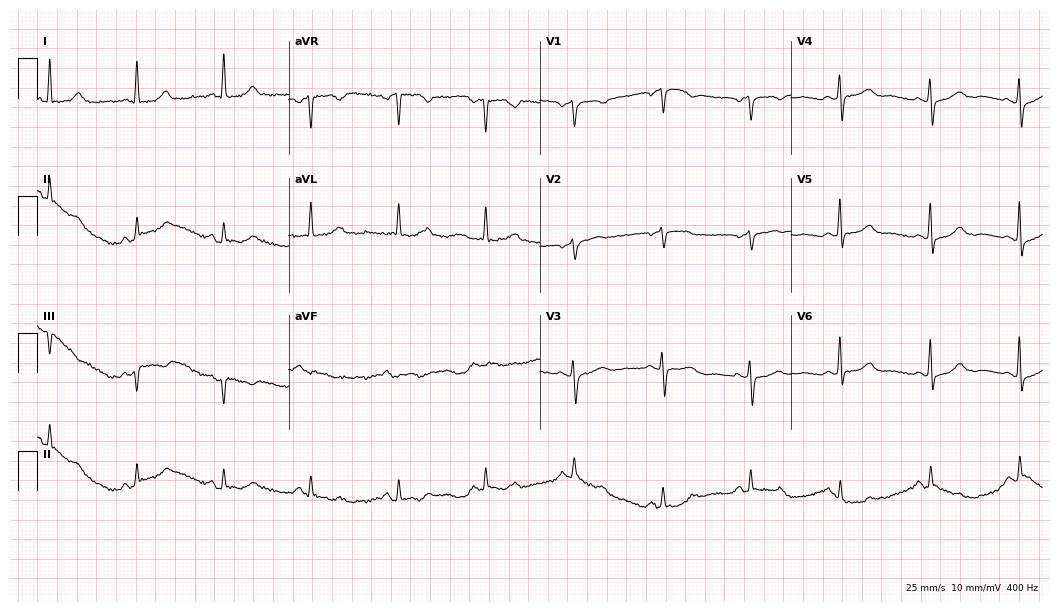
Standard 12-lead ECG recorded from a 67-year-old woman. Read as a normal ECG.